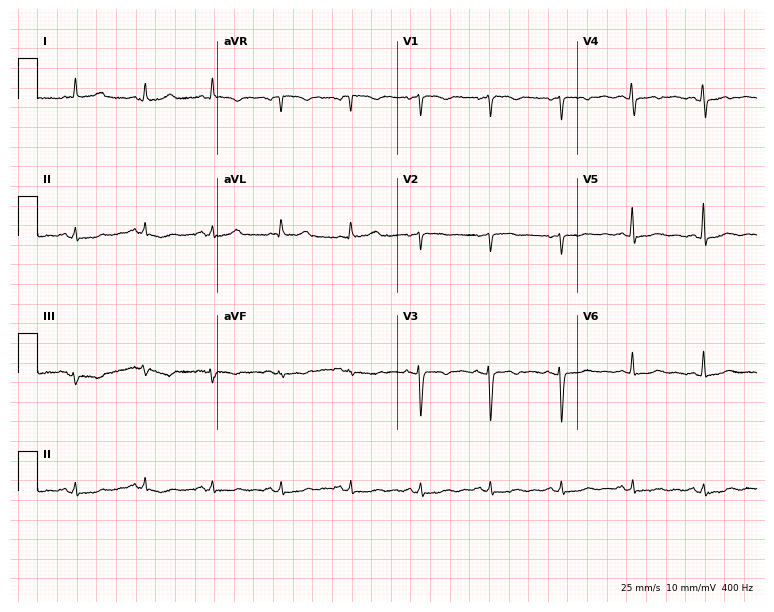
Standard 12-lead ECG recorded from a female patient, 45 years old (7.3-second recording at 400 Hz). None of these six findings is recorded: first-degree AV block, right bundle branch block (RBBB), left bundle branch block (LBBB), sinus bradycardia, atrial fibrillation (AF), sinus tachycardia. Other findings, if any, are not listed.